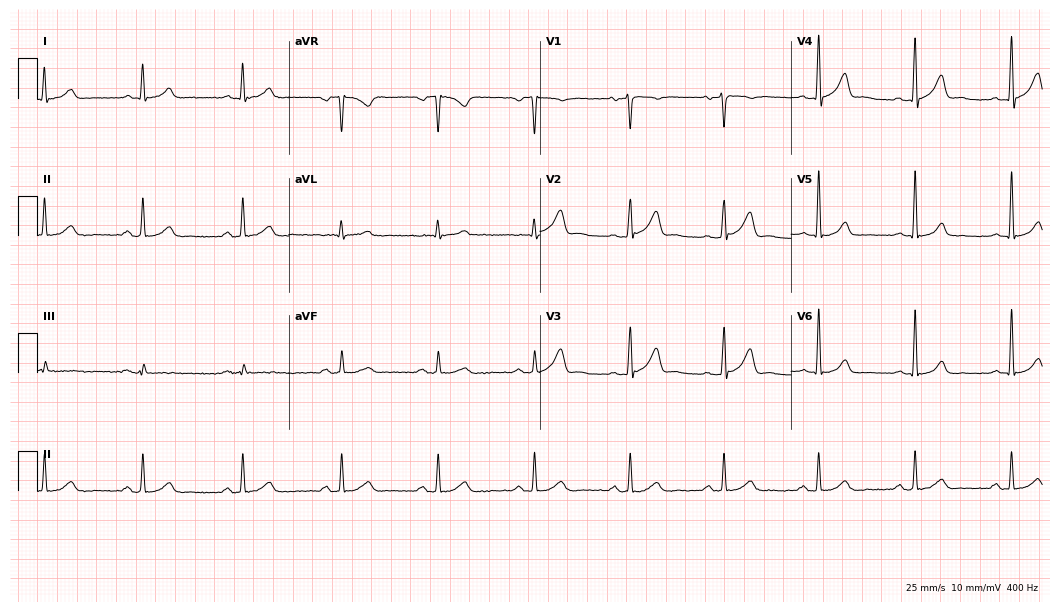
12-lead ECG from a 52-year-old male (10.2-second recording at 400 Hz). Recorded interpretation: within normal limits.